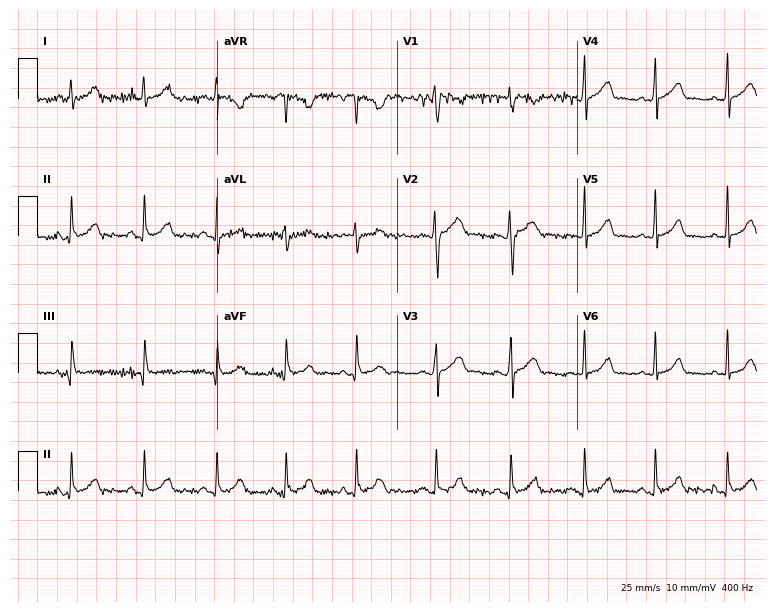
Electrocardiogram, a 24-year-old female. Of the six screened findings (first-degree AV block, right bundle branch block (RBBB), left bundle branch block (LBBB), sinus bradycardia, atrial fibrillation (AF), sinus tachycardia), none is recorded.